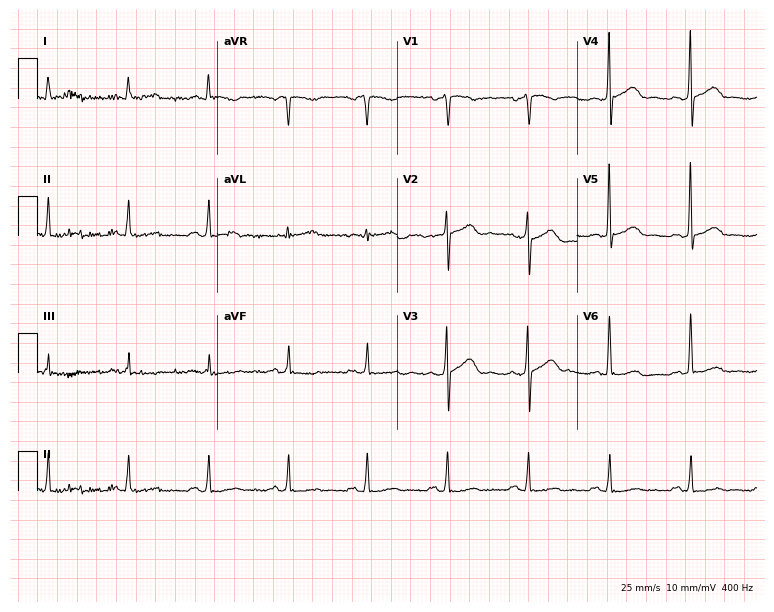
Standard 12-lead ECG recorded from a 62-year-old man (7.3-second recording at 400 Hz). Read as a normal ECG.